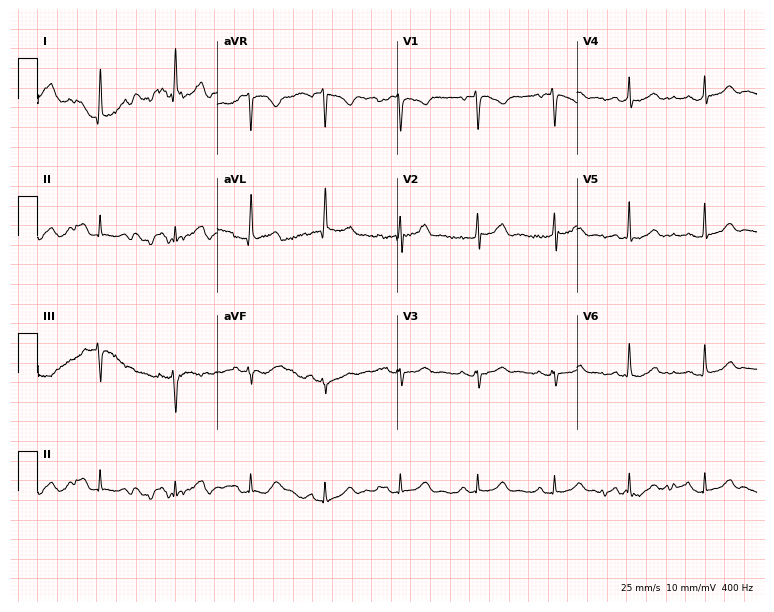
Electrocardiogram, a woman, 61 years old. Overall reading on record: normal ECG.